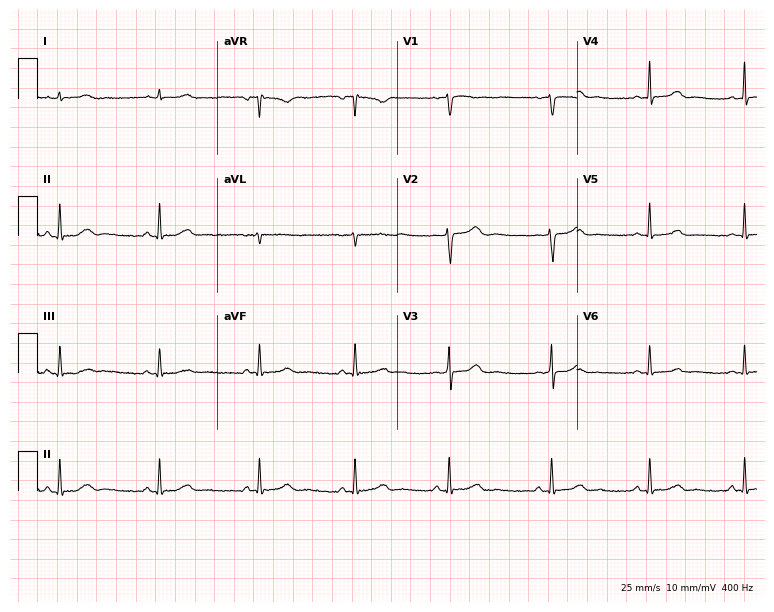
ECG (7.3-second recording at 400 Hz) — a female, 19 years old. Labelled as a normal ECG.